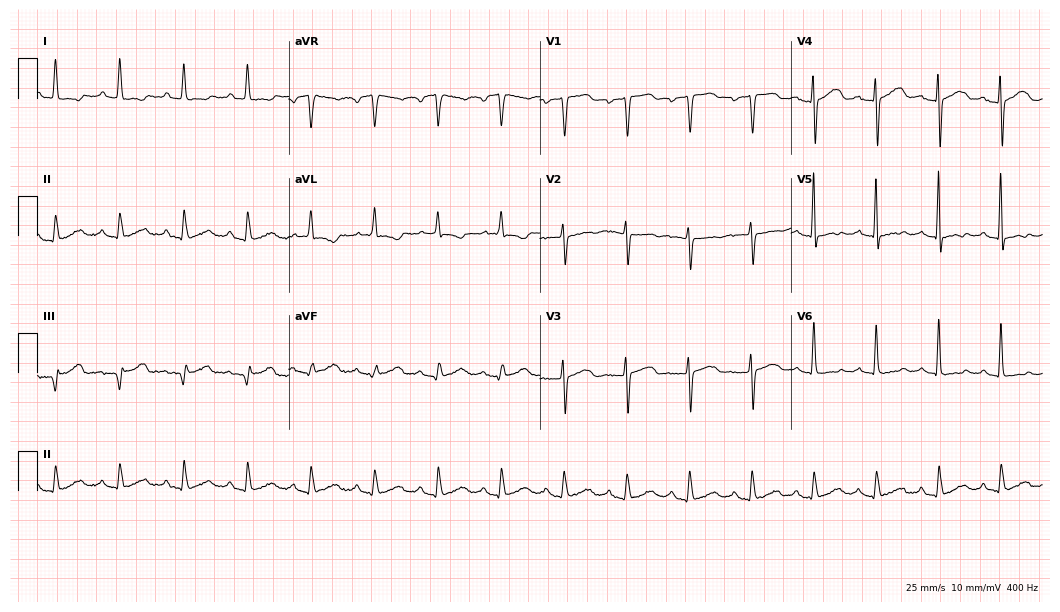
Resting 12-lead electrocardiogram. Patient: an 83-year-old female. None of these six findings is recorded: first-degree AV block, right bundle branch block, left bundle branch block, sinus bradycardia, atrial fibrillation, sinus tachycardia. Only these six findings were labelled.